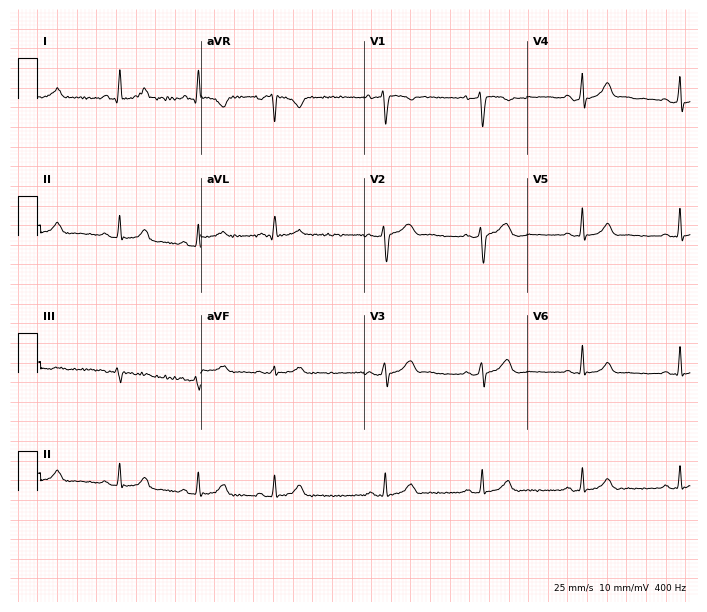
12-lead ECG from a female patient, 34 years old. Recorded interpretation: within normal limits.